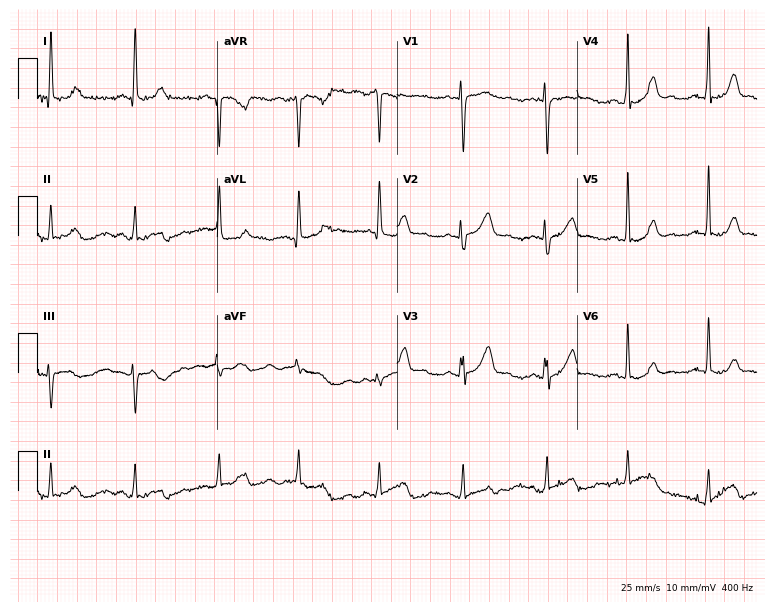
Resting 12-lead electrocardiogram (7.3-second recording at 400 Hz). Patient: a 35-year-old female. Read as a normal ECG.